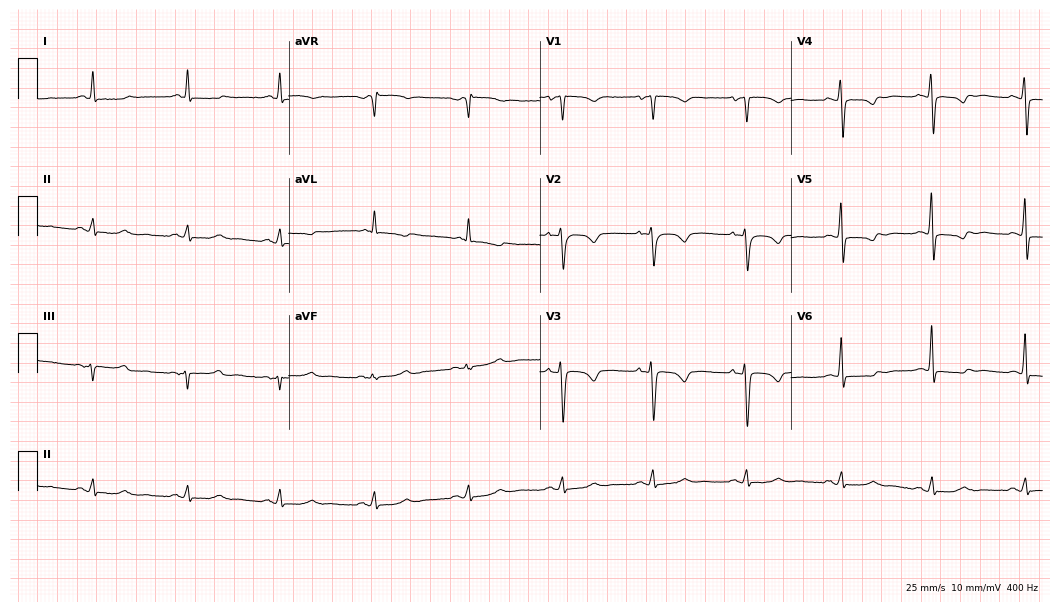
12-lead ECG from a 55-year-old female patient. No first-degree AV block, right bundle branch block, left bundle branch block, sinus bradycardia, atrial fibrillation or sinus tachycardia recorded for this tracing.